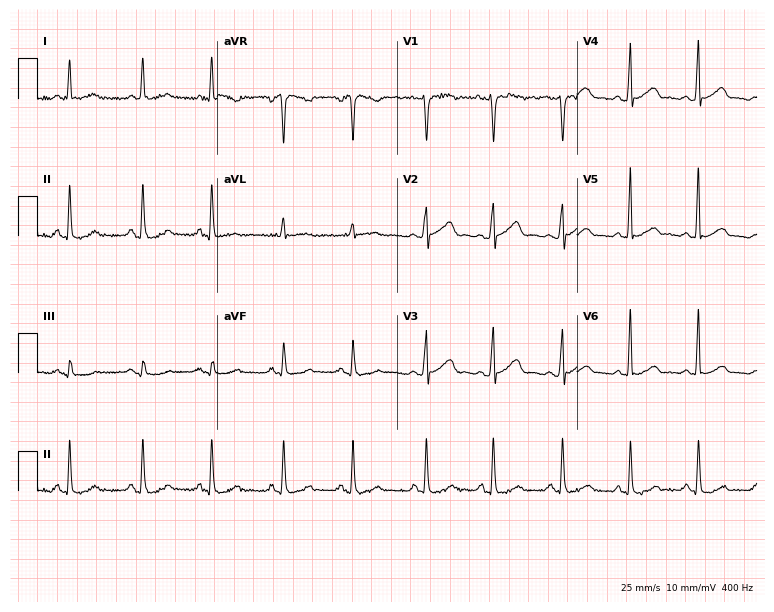
12-lead ECG from a woman, 45 years old. No first-degree AV block, right bundle branch block, left bundle branch block, sinus bradycardia, atrial fibrillation or sinus tachycardia recorded for this tracing. Other findings, if any, are not listed.